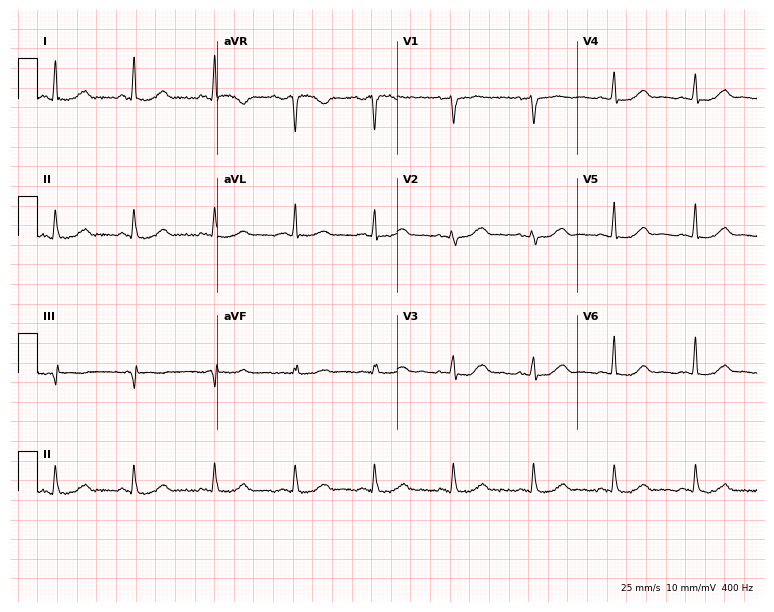
Standard 12-lead ECG recorded from a female patient, 59 years old. Read as a normal ECG.